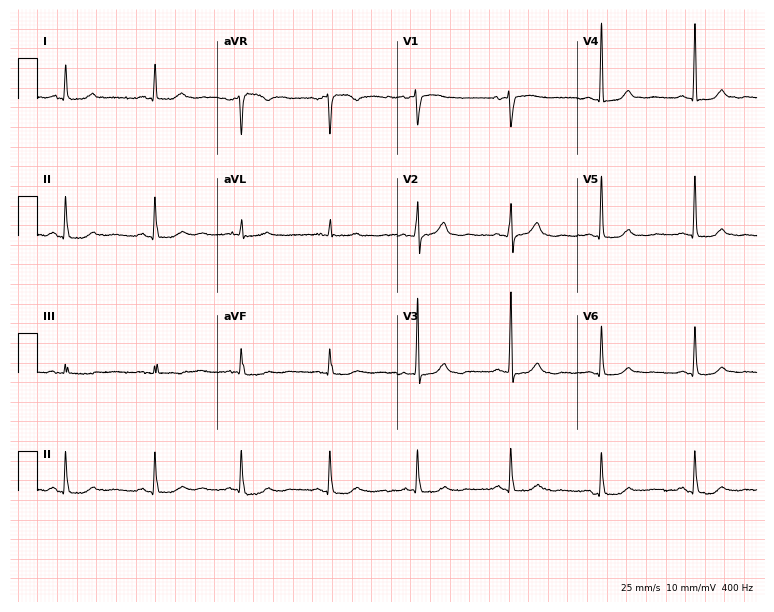
ECG (7.3-second recording at 400 Hz) — a female patient, 83 years old. Labelled as a normal ECG.